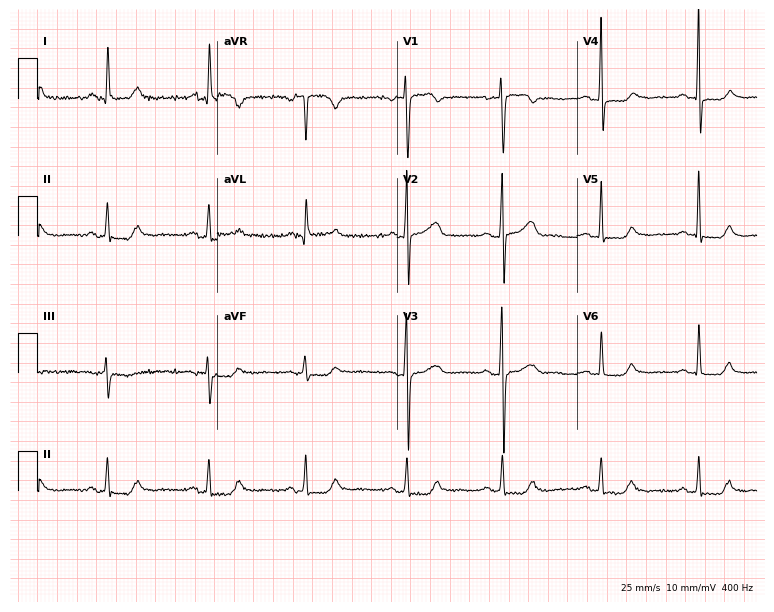
ECG — a female patient, 65 years old. Labelled as a normal ECG.